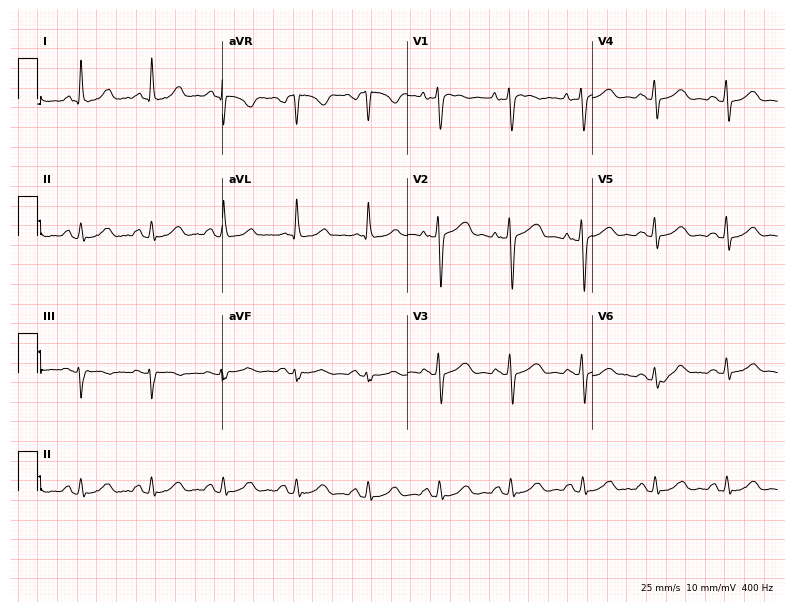
Resting 12-lead electrocardiogram. Patient: a woman, 51 years old. Read as a normal ECG.